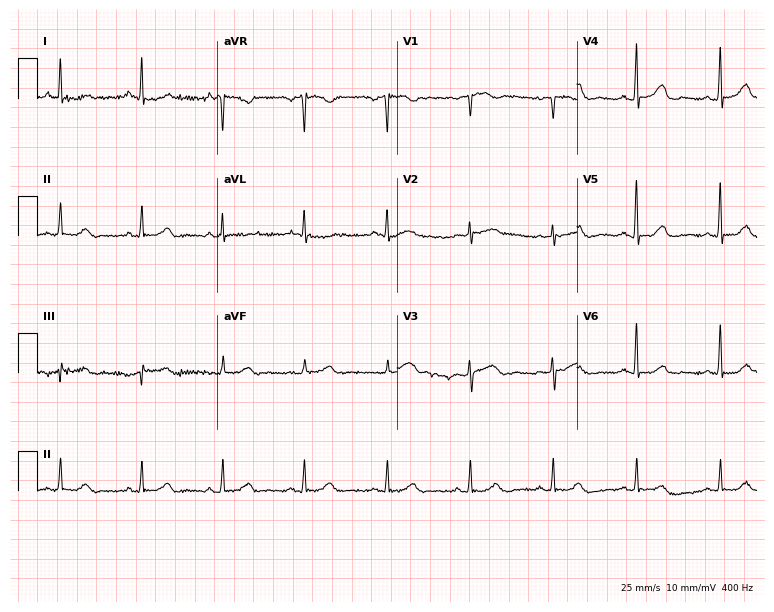
Resting 12-lead electrocardiogram. Patient: a 55-year-old female. Read as a normal ECG.